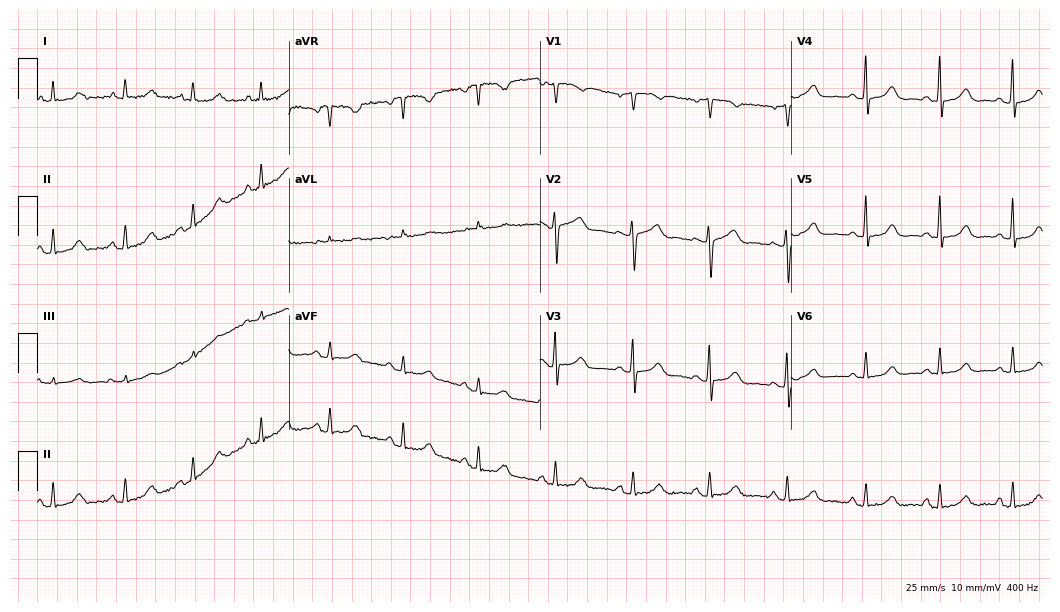
Electrocardiogram, a 59-year-old female patient. Overall reading on record: normal ECG.